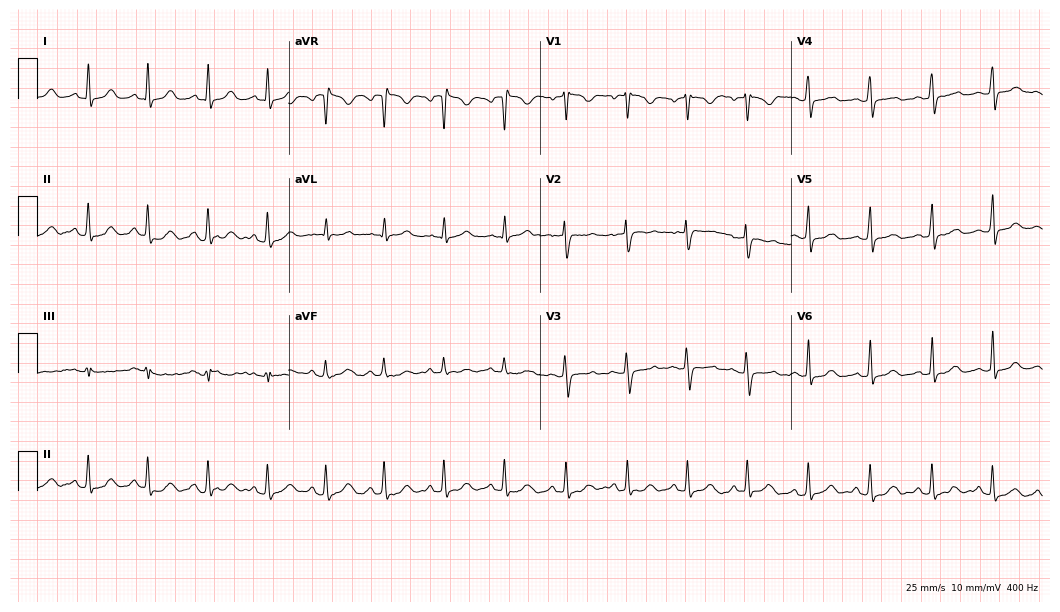
12-lead ECG from a female, 25 years old. Recorded interpretation: within normal limits.